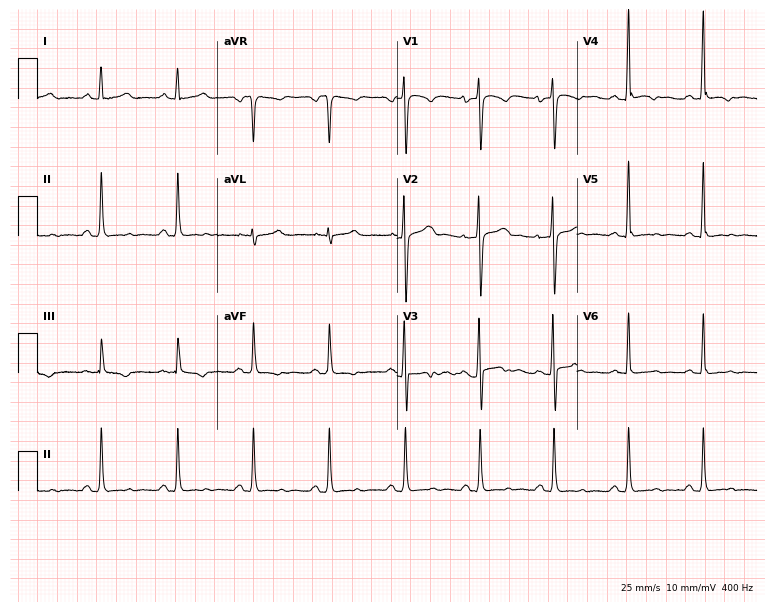
Resting 12-lead electrocardiogram (7.3-second recording at 400 Hz). Patient: a male, 32 years old. None of these six findings is recorded: first-degree AV block, right bundle branch block, left bundle branch block, sinus bradycardia, atrial fibrillation, sinus tachycardia.